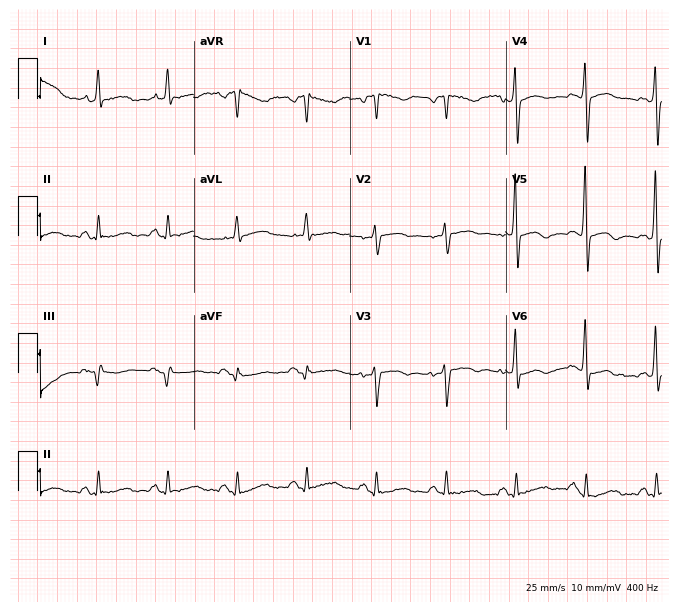
Standard 12-lead ECG recorded from a female, 58 years old. None of these six findings is recorded: first-degree AV block, right bundle branch block, left bundle branch block, sinus bradycardia, atrial fibrillation, sinus tachycardia.